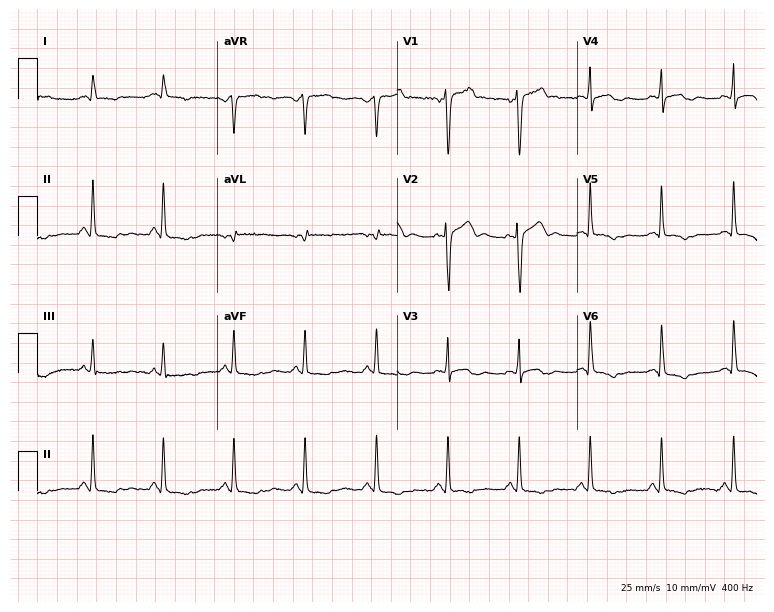
Resting 12-lead electrocardiogram. Patient: a 66-year-old female. None of these six findings is recorded: first-degree AV block, right bundle branch block (RBBB), left bundle branch block (LBBB), sinus bradycardia, atrial fibrillation (AF), sinus tachycardia. Only these six findings were labelled.